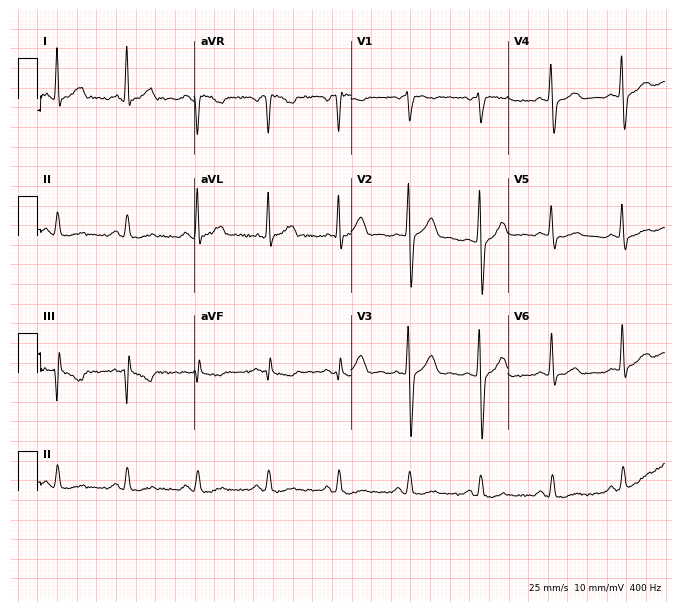
Standard 12-lead ECG recorded from a man, 44 years old. None of these six findings is recorded: first-degree AV block, right bundle branch block (RBBB), left bundle branch block (LBBB), sinus bradycardia, atrial fibrillation (AF), sinus tachycardia. Only these six findings were labelled.